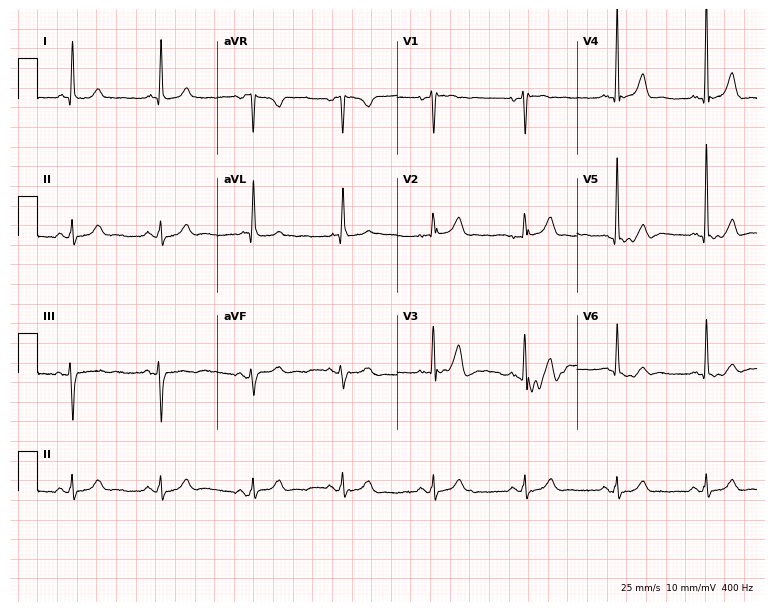
Standard 12-lead ECG recorded from a male, 61 years old. None of these six findings is recorded: first-degree AV block, right bundle branch block, left bundle branch block, sinus bradycardia, atrial fibrillation, sinus tachycardia.